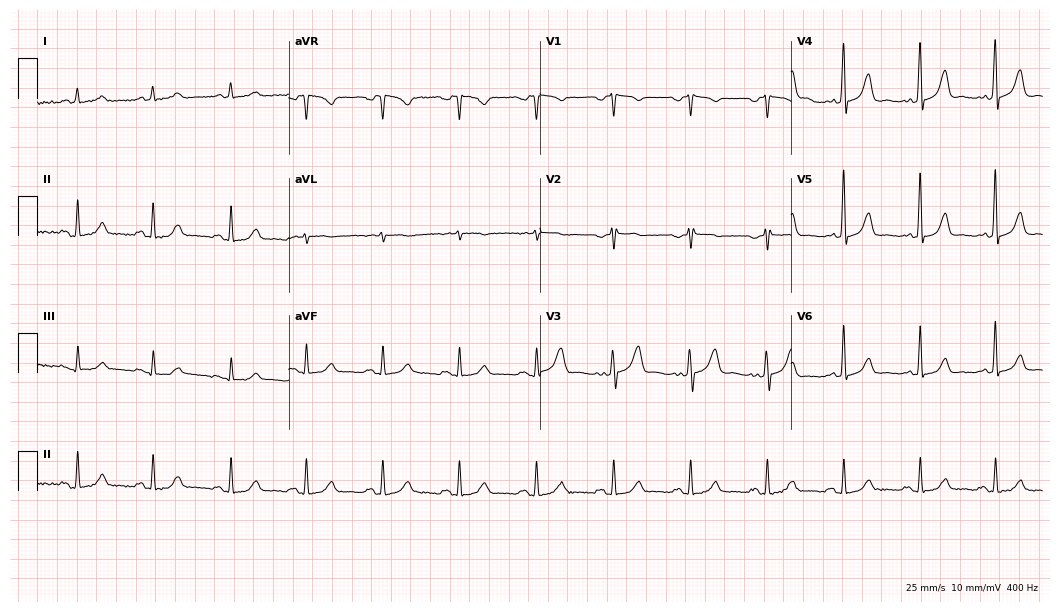
12-lead ECG from a 62-year-old female patient (10.2-second recording at 400 Hz). Recorded interpretation: within normal limits.